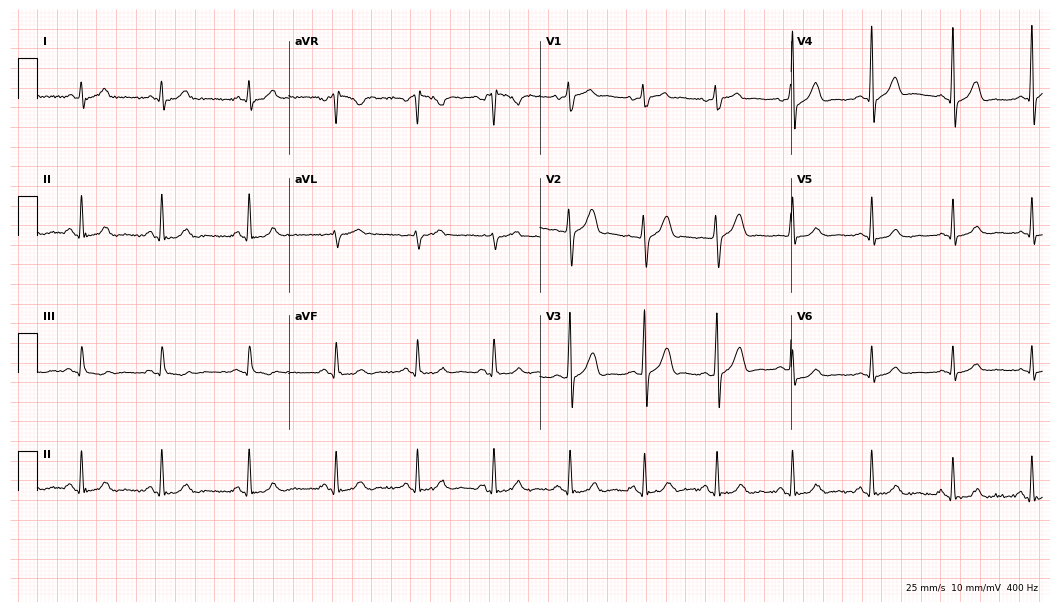
Electrocardiogram, a male, 29 years old. Of the six screened findings (first-degree AV block, right bundle branch block, left bundle branch block, sinus bradycardia, atrial fibrillation, sinus tachycardia), none is recorded.